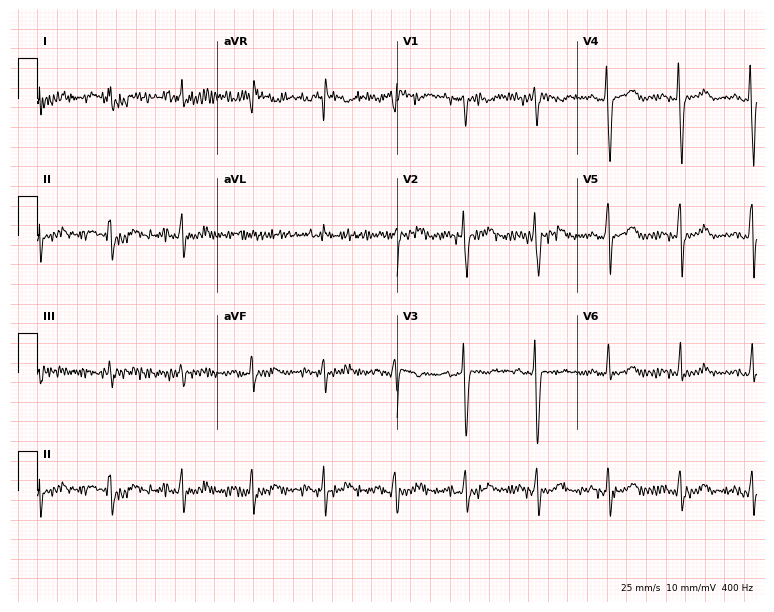
Standard 12-lead ECG recorded from a 56-year-old female (7.3-second recording at 400 Hz). None of these six findings is recorded: first-degree AV block, right bundle branch block (RBBB), left bundle branch block (LBBB), sinus bradycardia, atrial fibrillation (AF), sinus tachycardia. Findings outside these six are not listed.